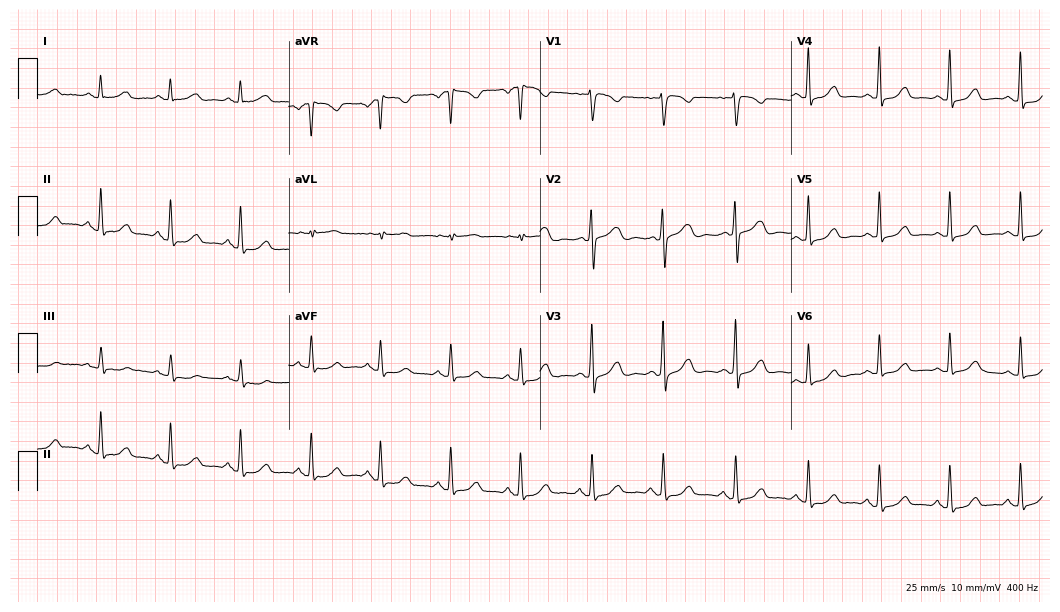
12-lead ECG from a female, 46 years old. Labelled as a normal ECG.